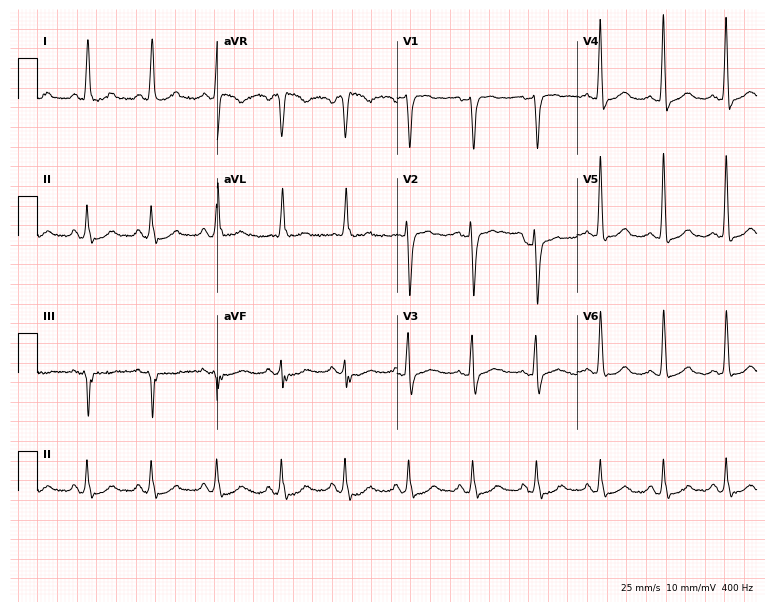
ECG — a 65-year-old female patient. Labelled as a normal ECG.